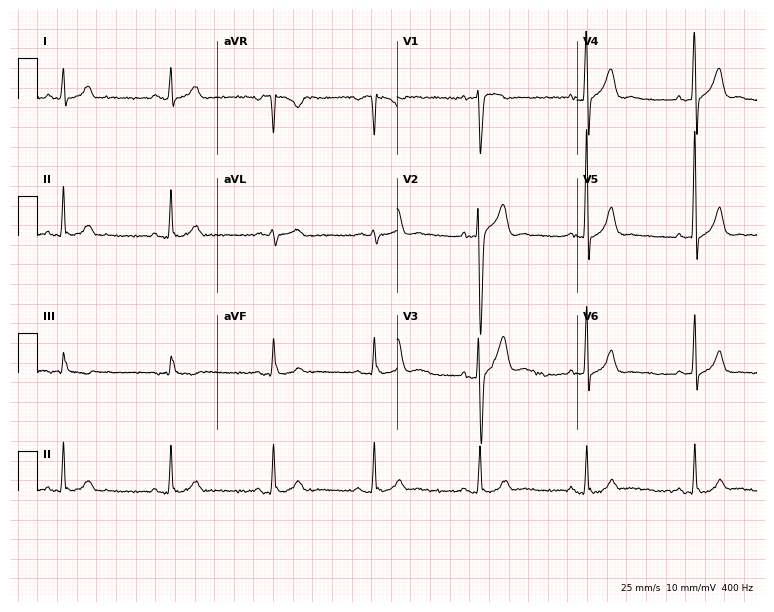
ECG (7.3-second recording at 400 Hz) — a 37-year-old male. Labelled as a normal ECG.